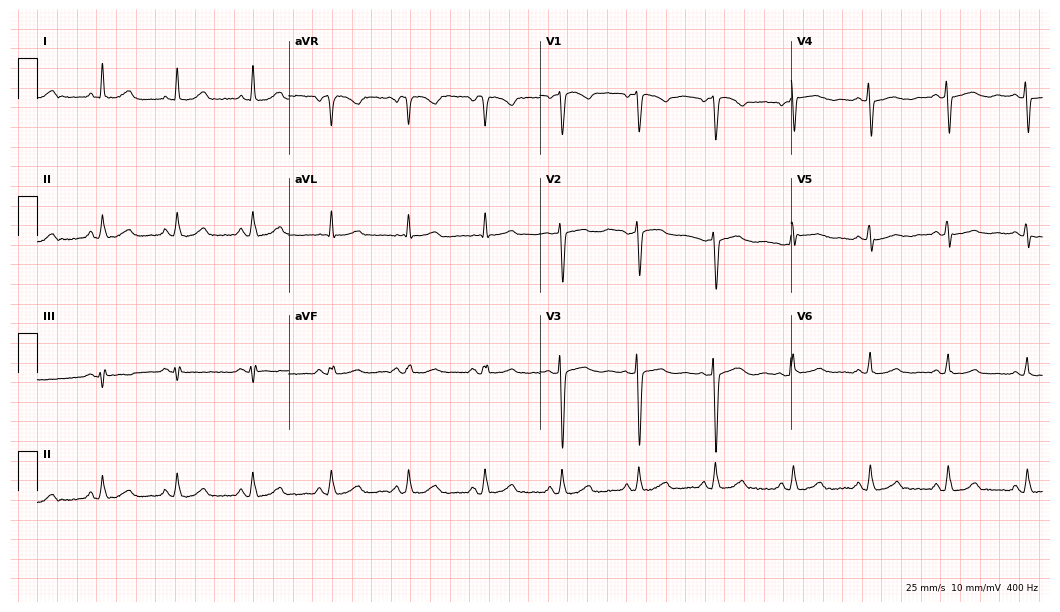
Standard 12-lead ECG recorded from a female patient, 36 years old (10.2-second recording at 400 Hz). None of these six findings is recorded: first-degree AV block, right bundle branch block, left bundle branch block, sinus bradycardia, atrial fibrillation, sinus tachycardia. Other findings, if any, are not listed.